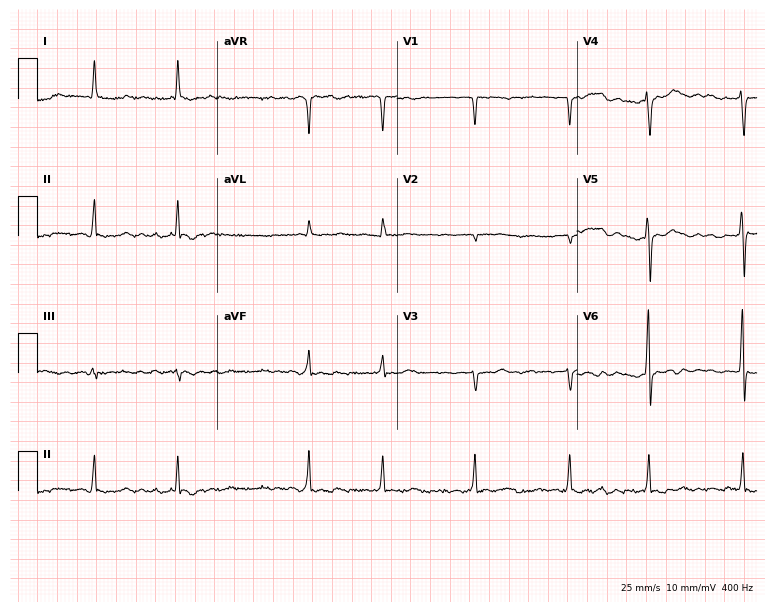
Standard 12-lead ECG recorded from a female, 85 years old. The tracing shows atrial fibrillation.